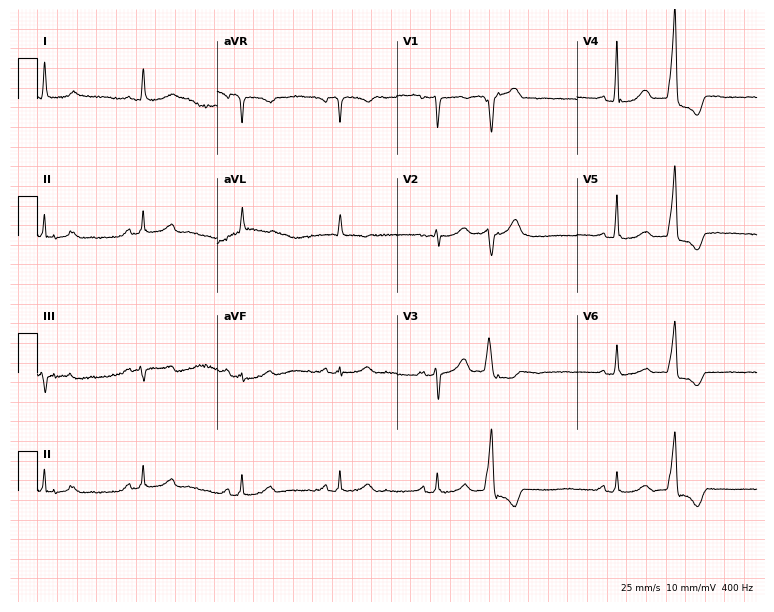
ECG (7.3-second recording at 400 Hz) — a male, 83 years old. Screened for six findings — first-degree AV block, right bundle branch block, left bundle branch block, sinus bradycardia, atrial fibrillation, sinus tachycardia — none is recorded.